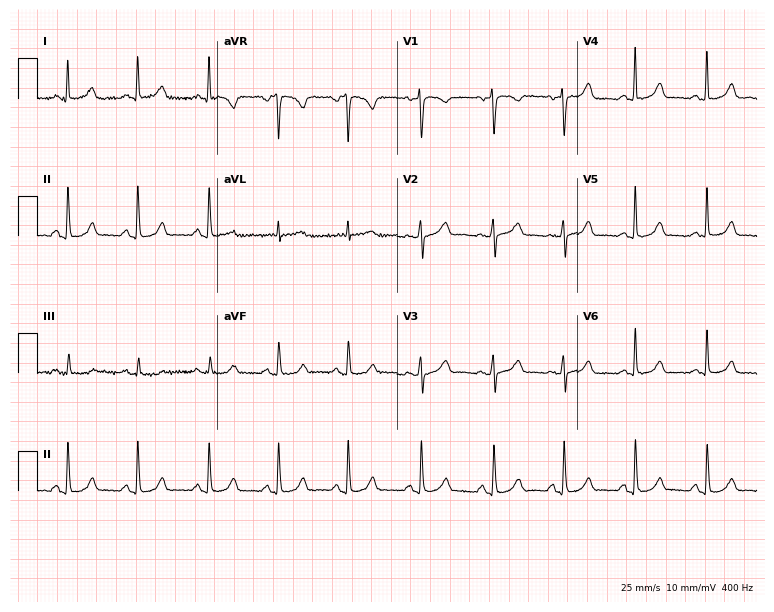
Electrocardiogram (7.3-second recording at 400 Hz), a 55-year-old female. Of the six screened findings (first-degree AV block, right bundle branch block, left bundle branch block, sinus bradycardia, atrial fibrillation, sinus tachycardia), none is recorded.